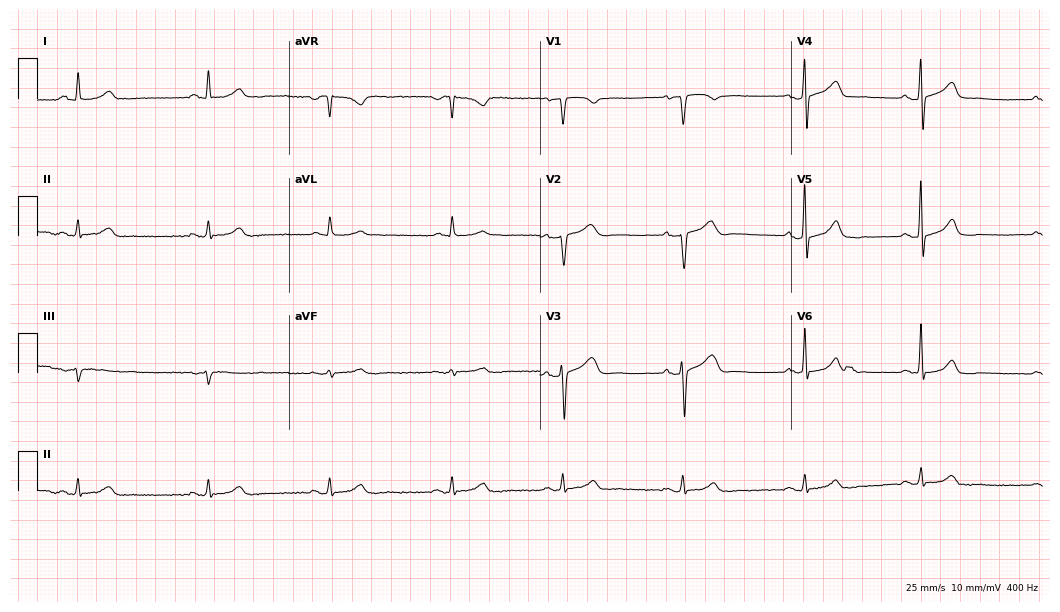
Resting 12-lead electrocardiogram (10.2-second recording at 400 Hz). Patient: a 56-year-old male. None of these six findings is recorded: first-degree AV block, right bundle branch block, left bundle branch block, sinus bradycardia, atrial fibrillation, sinus tachycardia.